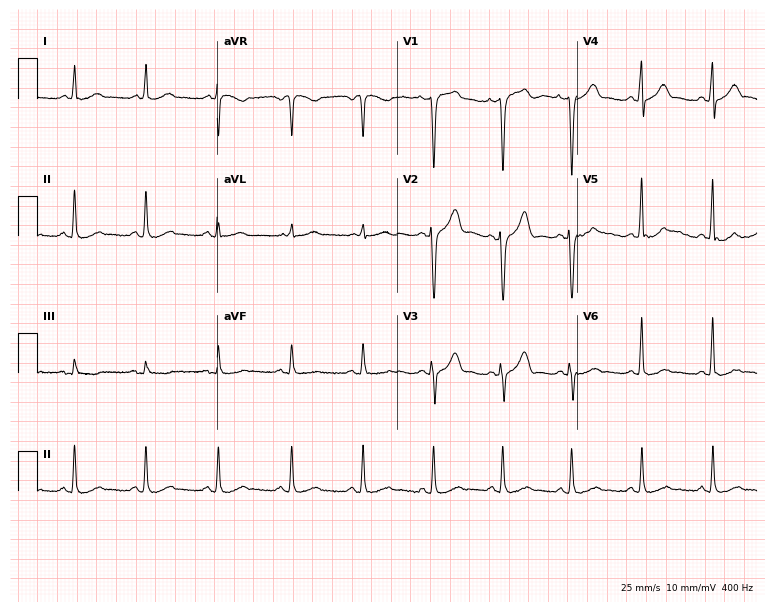
ECG (7.3-second recording at 400 Hz) — a man, 47 years old. Screened for six findings — first-degree AV block, right bundle branch block, left bundle branch block, sinus bradycardia, atrial fibrillation, sinus tachycardia — none is recorded.